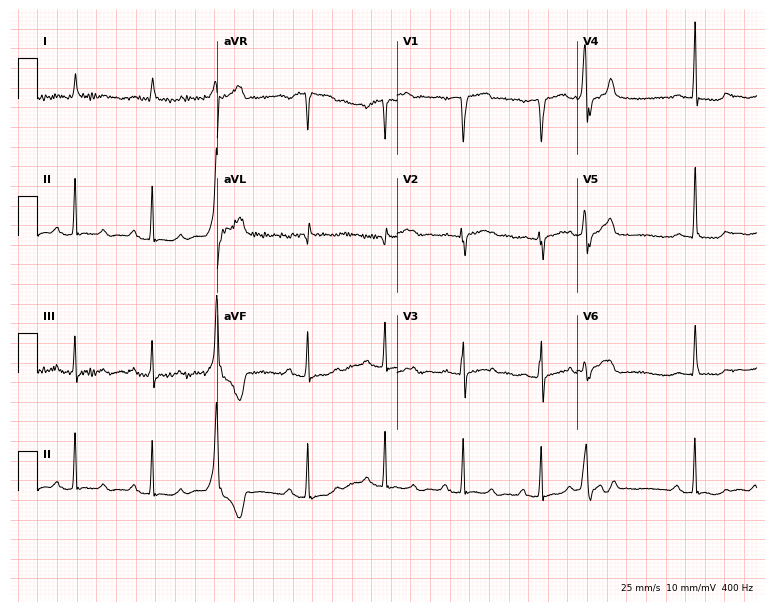
Resting 12-lead electrocardiogram. Patient: a 64-year-old male. None of these six findings is recorded: first-degree AV block, right bundle branch block, left bundle branch block, sinus bradycardia, atrial fibrillation, sinus tachycardia. Other findings, if any, are not listed.